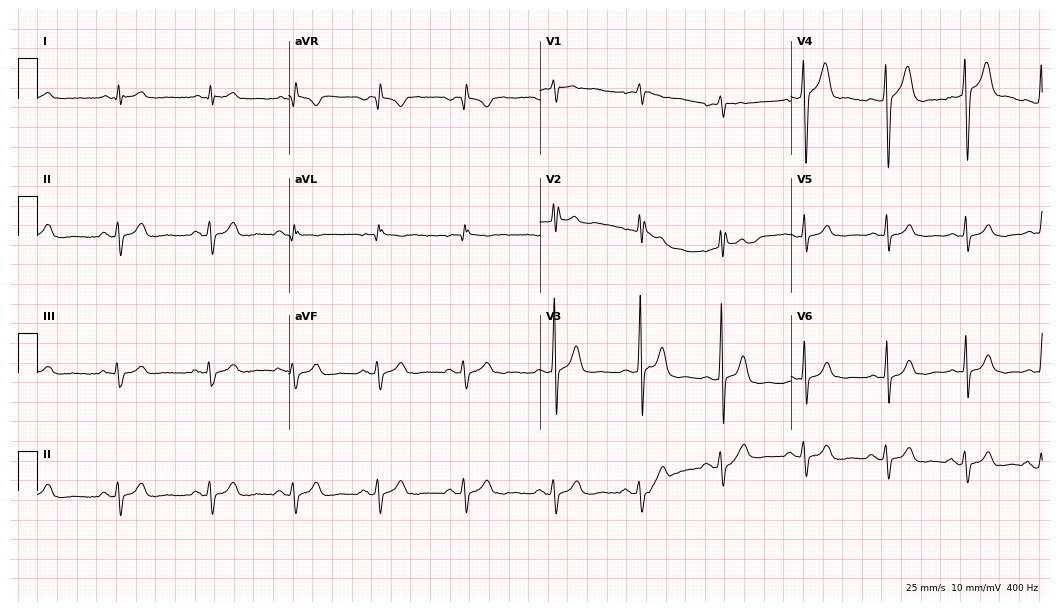
ECG — a male, 24 years old. Screened for six findings — first-degree AV block, right bundle branch block, left bundle branch block, sinus bradycardia, atrial fibrillation, sinus tachycardia — none is recorded.